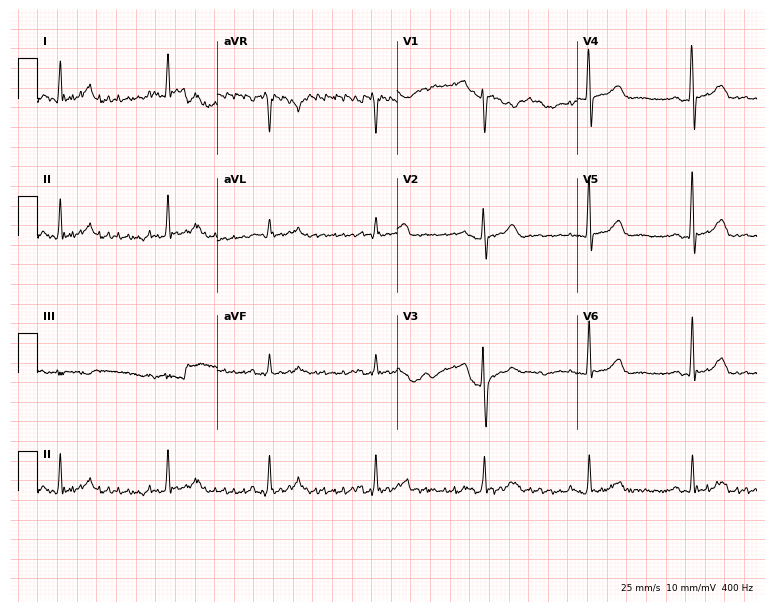
12-lead ECG (7.3-second recording at 400 Hz) from a male patient, 47 years old. Screened for six findings — first-degree AV block, right bundle branch block, left bundle branch block, sinus bradycardia, atrial fibrillation, sinus tachycardia — none is recorded.